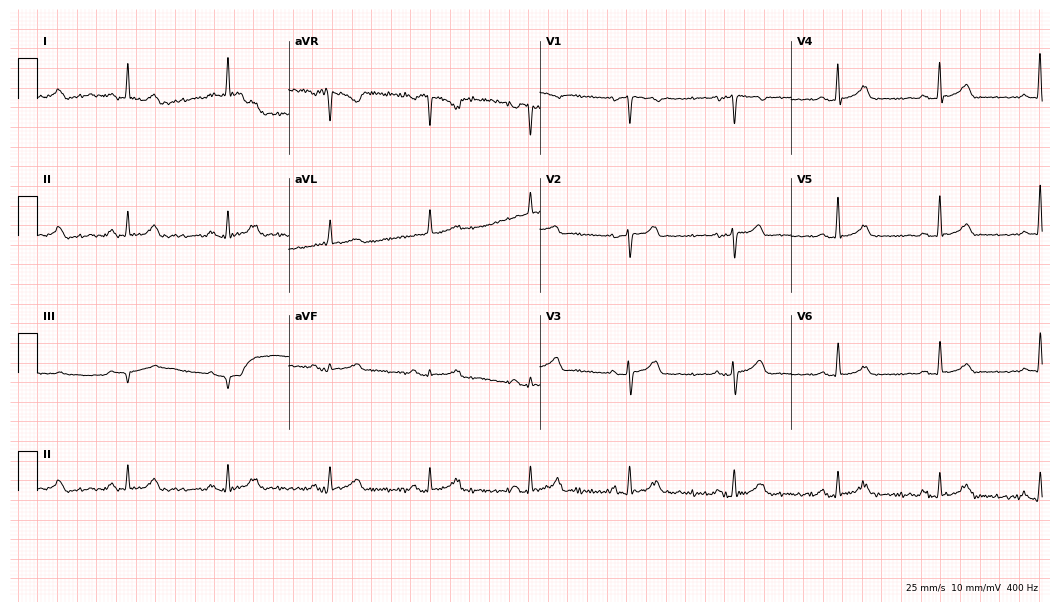
Resting 12-lead electrocardiogram (10.2-second recording at 400 Hz). Patient: a woman, 76 years old. Read as a normal ECG.